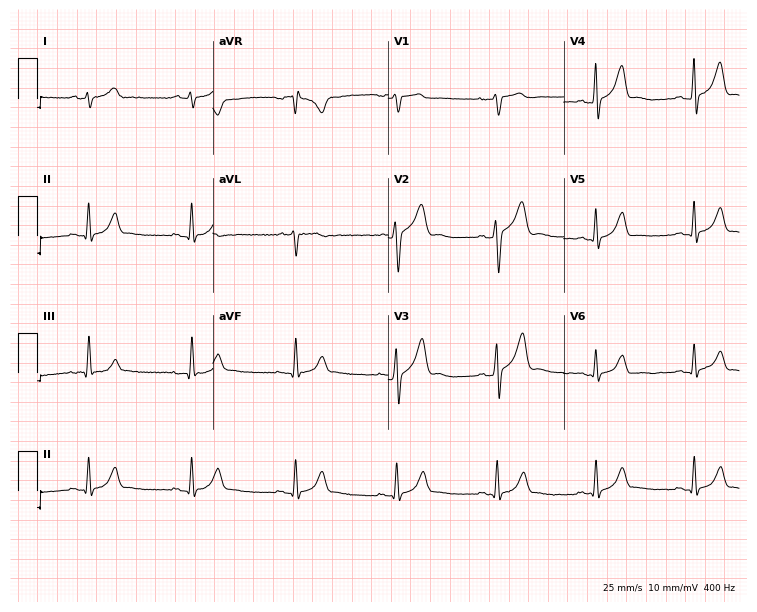
12-lead ECG from a male, 37 years old (7.2-second recording at 400 Hz). Recorded interpretation: within normal limits.